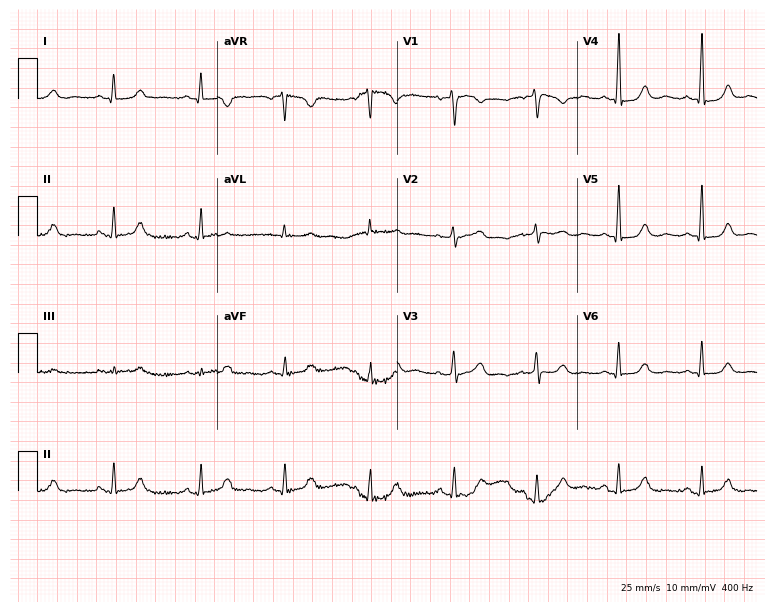
Electrocardiogram (7.3-second recording at 400 Hz), a 58-year-old woman. Overall reading on record: normal ECG.